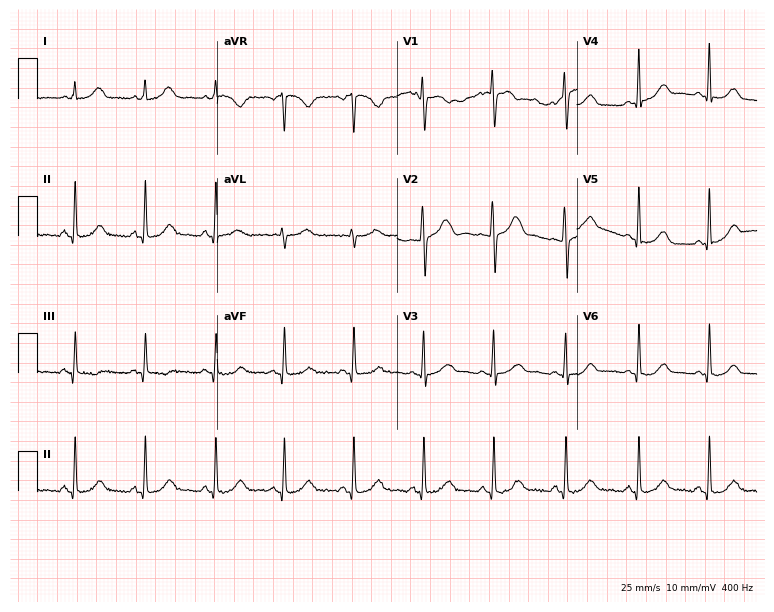
12-lead ECG from a 35-year-old woman. Recorded interpretation: within normal limits.